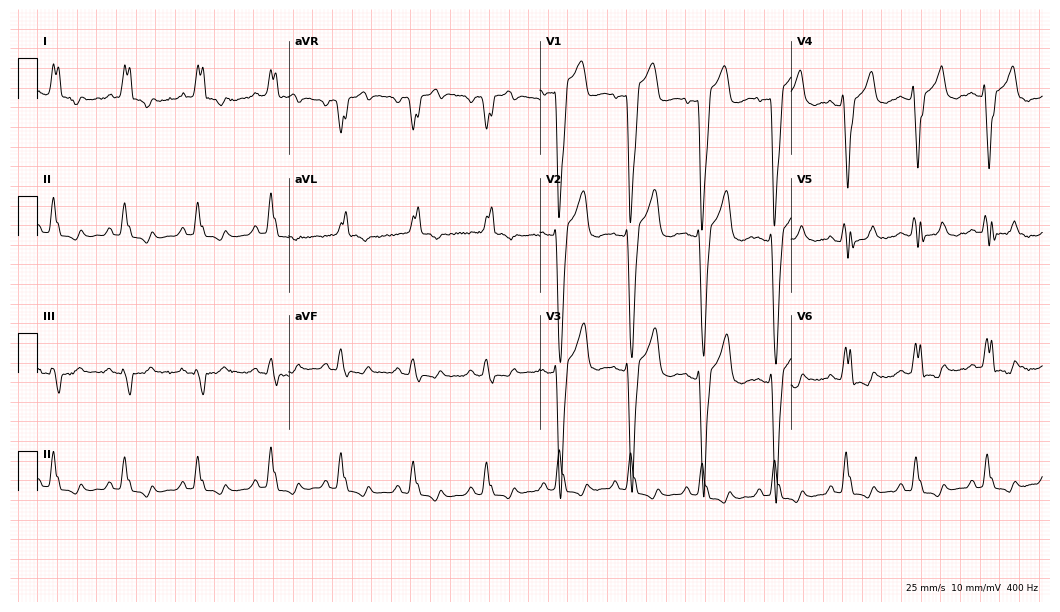
12-lead ECG from a male, 76 years old (10.2-second recording at 400 Hz). Shows left bundle branch block (LBBB).